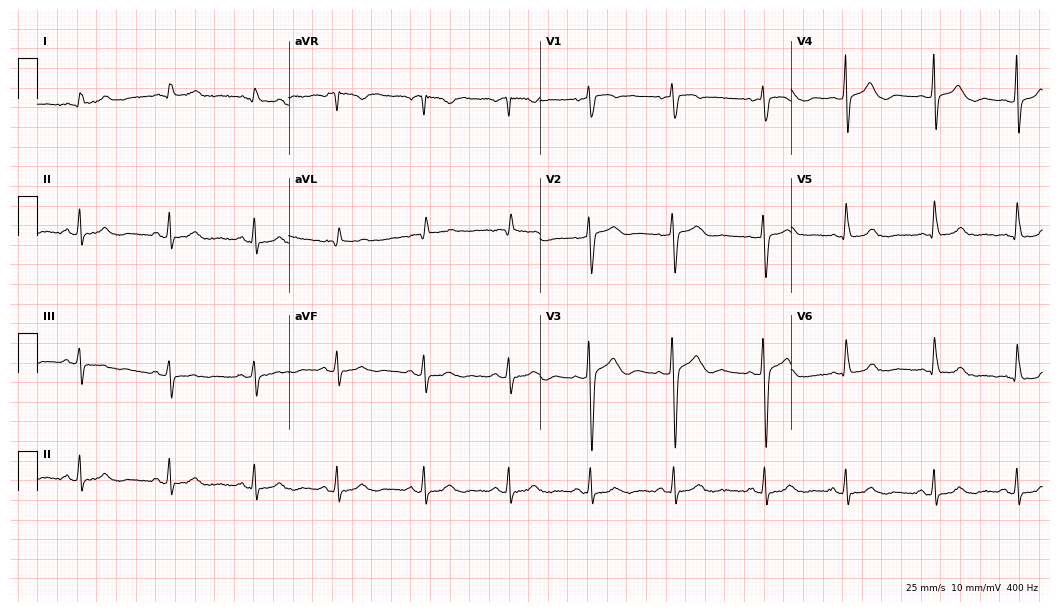
12-lead ECG from a 79-year-old female patient (10.2-second recording at 400 Hz). Recorded interpretation: within normal limits.